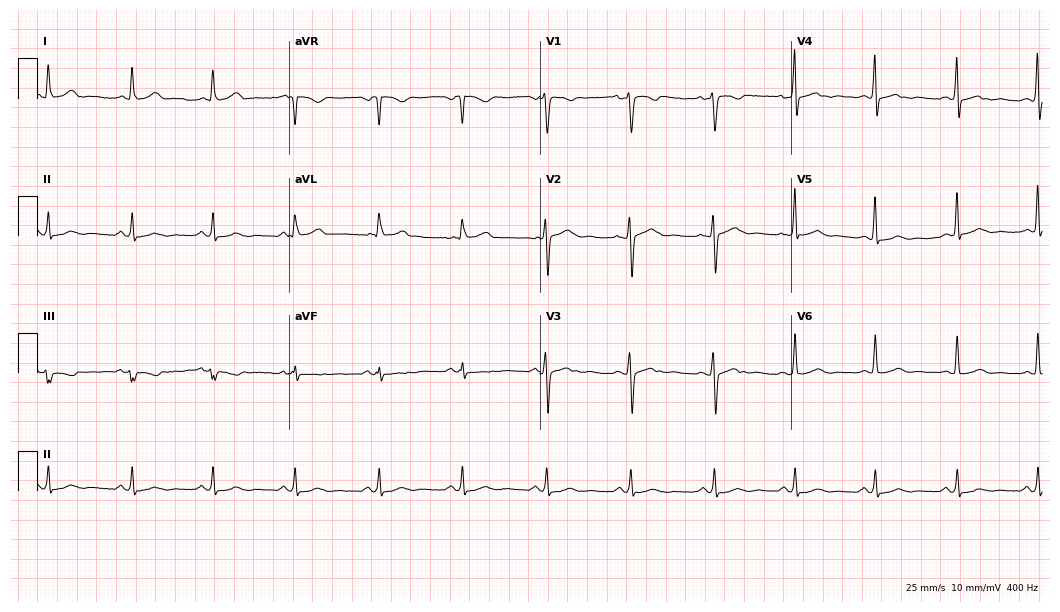
Resting 12-lead electrocardiogram (10.2-second recording at 400 Hz). Patient: a female, 32 years old. Read as a normal ECG.